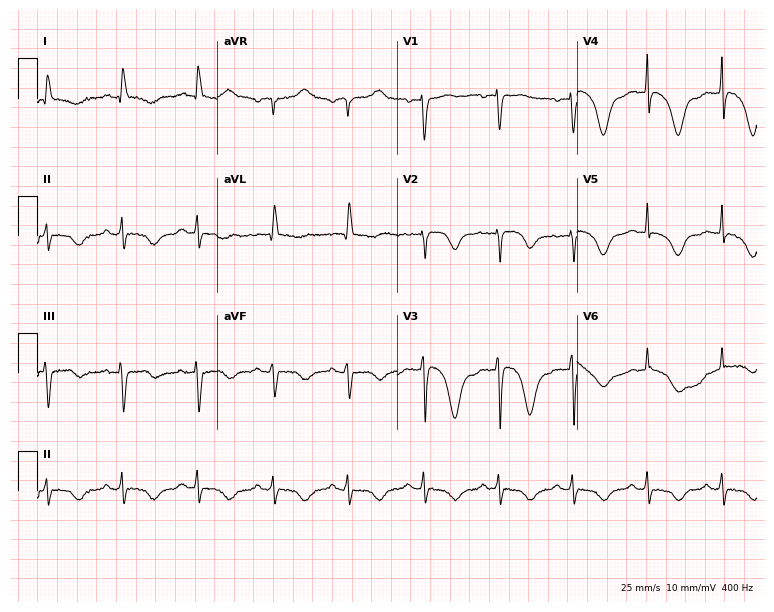
Standard 12-lead ECG recorded from a woman, 68 years old (7.3-second recording at 400 Hz). None of these six findings is recorded: first-degree AV block, right bundle branch block (RBBB), left bundle branch block (LBBB), sinus bradycardia, atrial fibrillation (AF), sinus tachycardia.